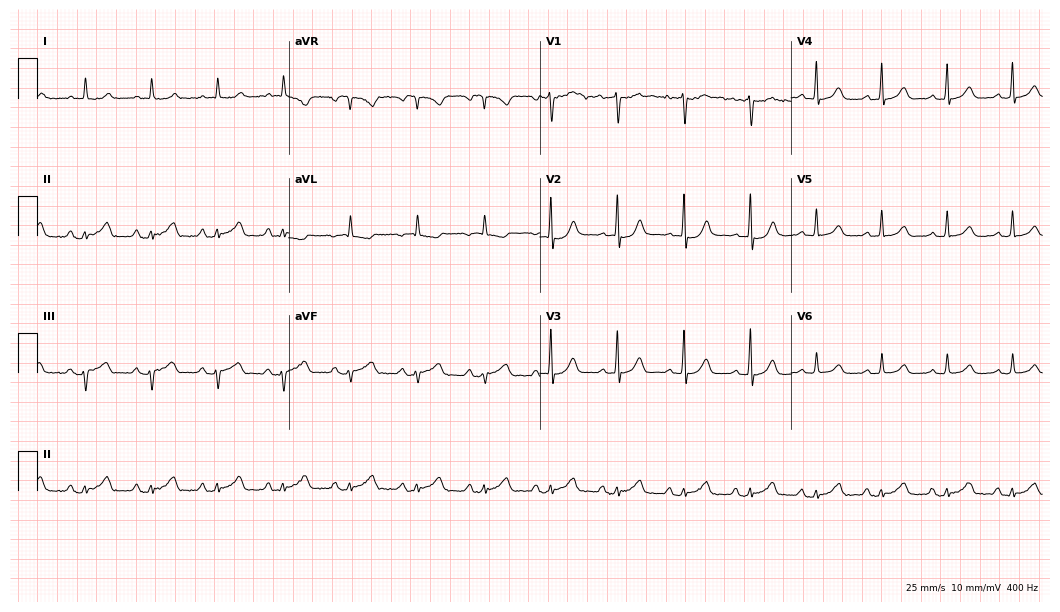
12-lead ECG from an 82-year-old male. Recorded interpretation: within normal limits.